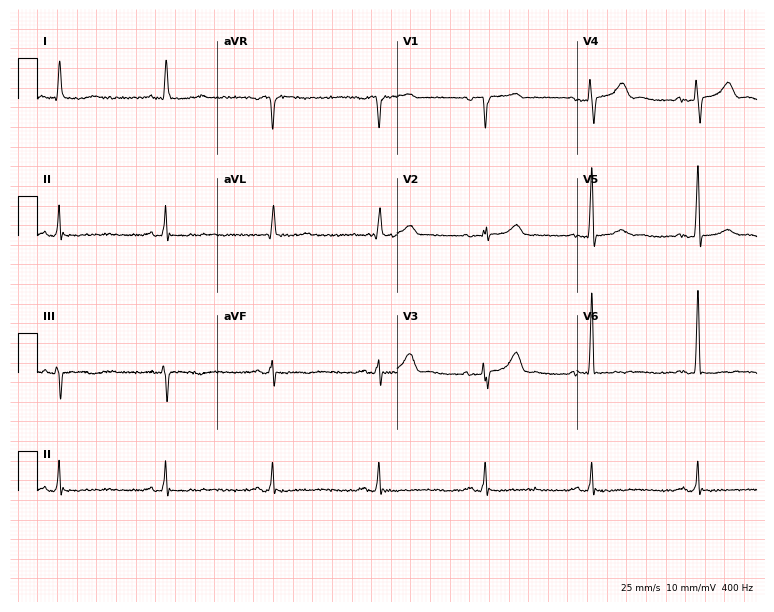
Resting 12-lead electrocardiogram (7.3-second recording at 400 Hz). Patient: a 61-year-old man. None of these six findings is recorded: first-degree AV block, right bundle branch block, left bundle branch block, sinus bradycardia, atrial fibrillation, sinus tachycardia.